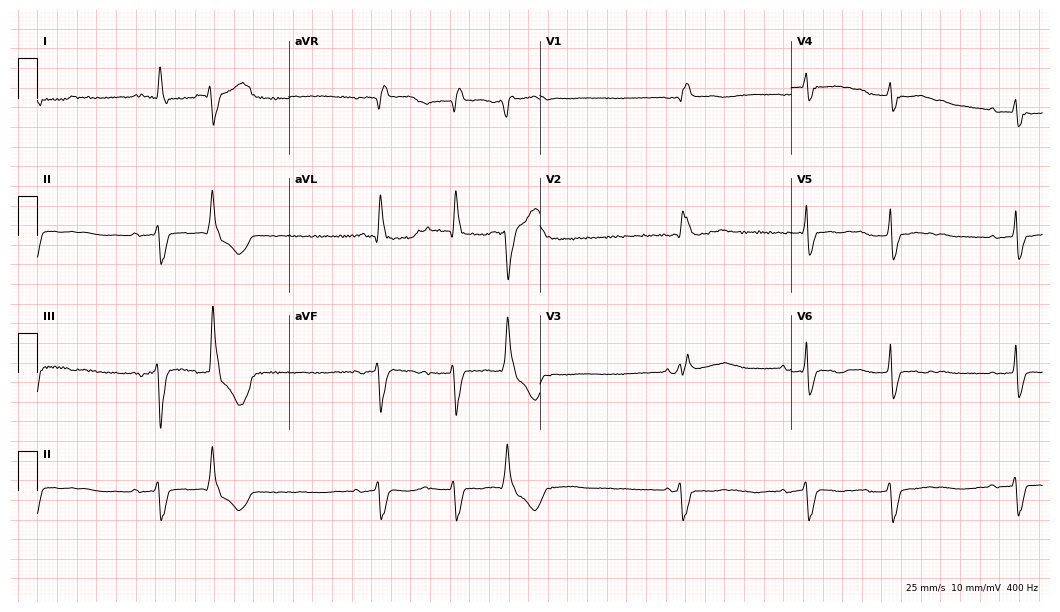
Standard 12-lead ECG recorded from a woman, 67 years old. The tracing shows right bundle branch block (RBBB), left bundle branch block (LBBB), atrial fibrillation (AF).